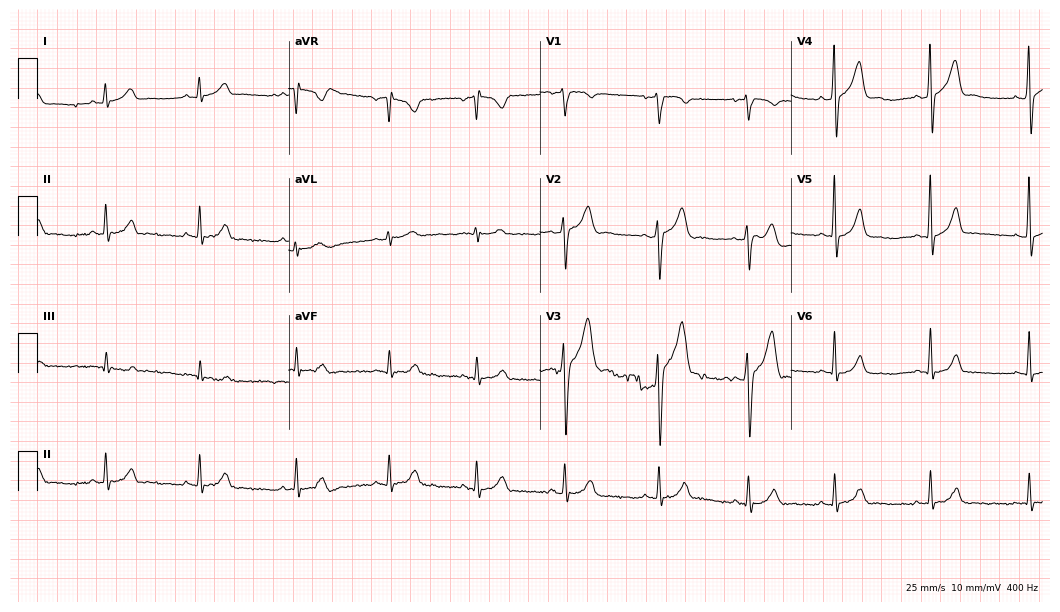
12-lead ECG (10.2-second recording at 400 Hz) from a 22-year-old man. Screened for six findings — first-degree AV block, right bundle branch block, left bundle branch block, sinus bradycardia, atrial fibrillation, sinus tachycardia — none is recorded. Only these six findings were labelled.